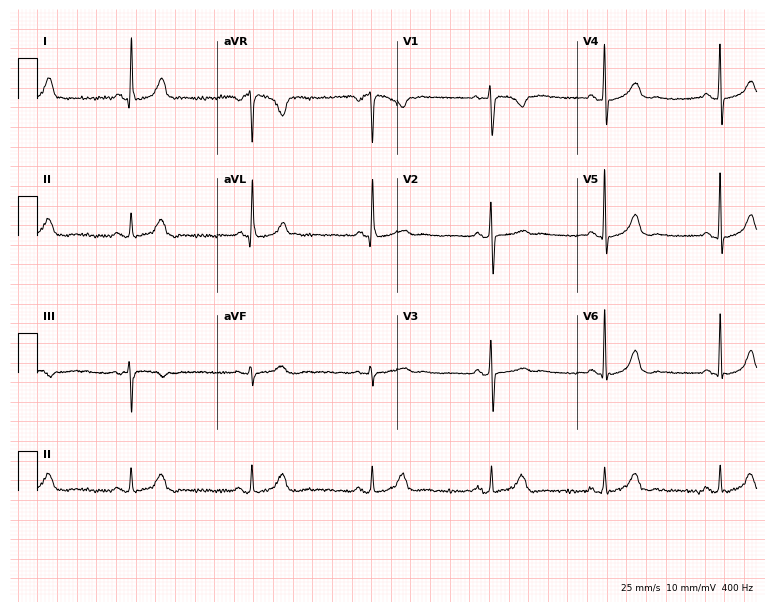
ECG — a female patient, 39 years old. Findings include sinus bradycardia (a sinus rate of 50 beats per minute or less).